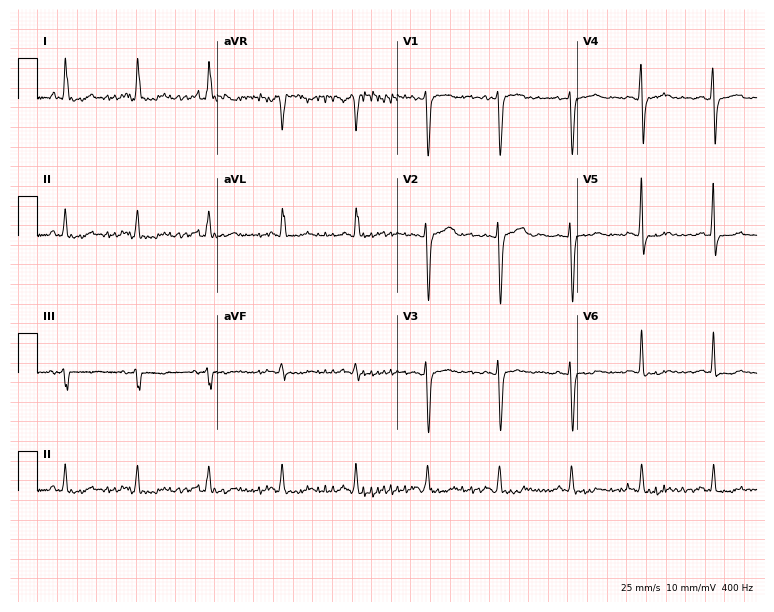
ECG — a 35-year-old woman. Screened for six findings — first-degree AV block, right bundle branch block, left bundle branch block, sinus bradycardia, atrial fibrillation, sinus tachycardia — none is recorded.